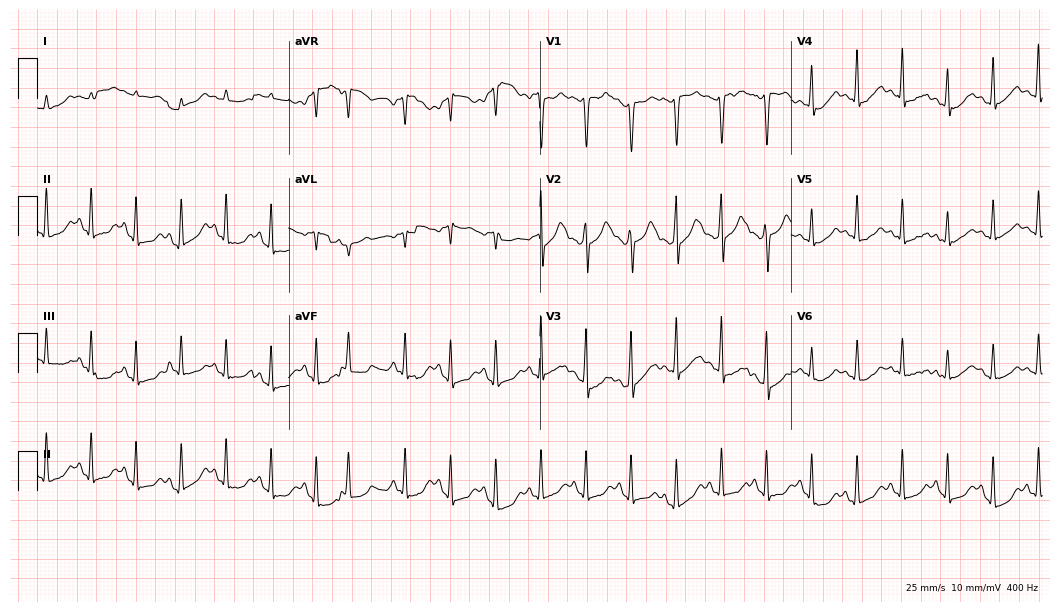
Electrocardiogram, a 20-year-old female patient. Of the six screened findings (first-degree AV block, right bundle branch block, left bundle branch block, sinus bradycardia, atrial fibrillation, sinus tachycardia), none is recorded.